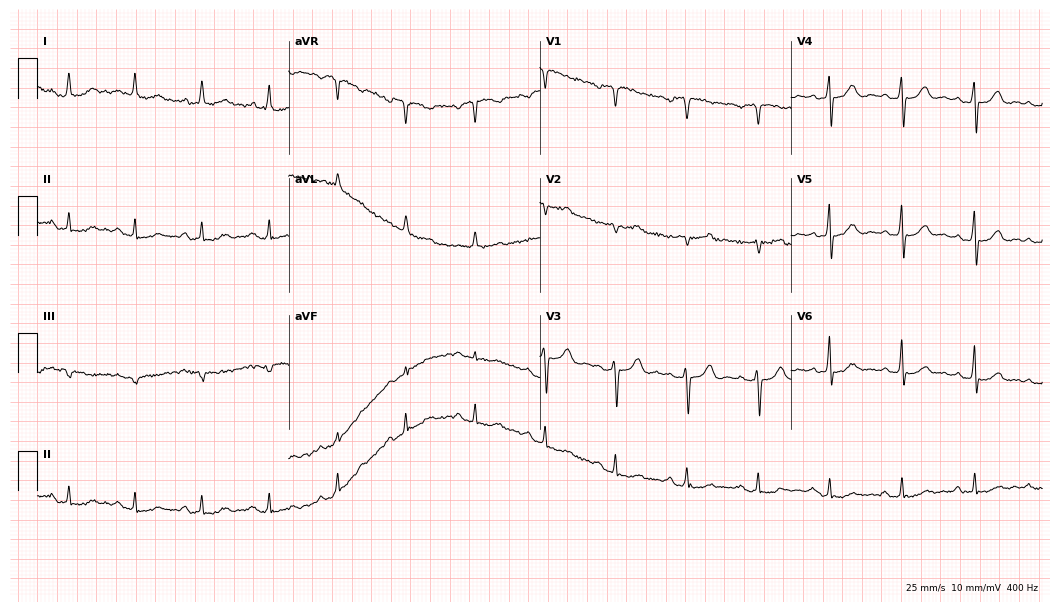
Electrocardiogram, a 65-year-old man. Of the six screened findings (first-degree AV block, right bundle branch block (RBBB), left bundle branch block (LBBB), sinus bradycardia, atrial fibrillation (AF), sinus tachycardia), none is recorded. Other findings, if any, are not listed.